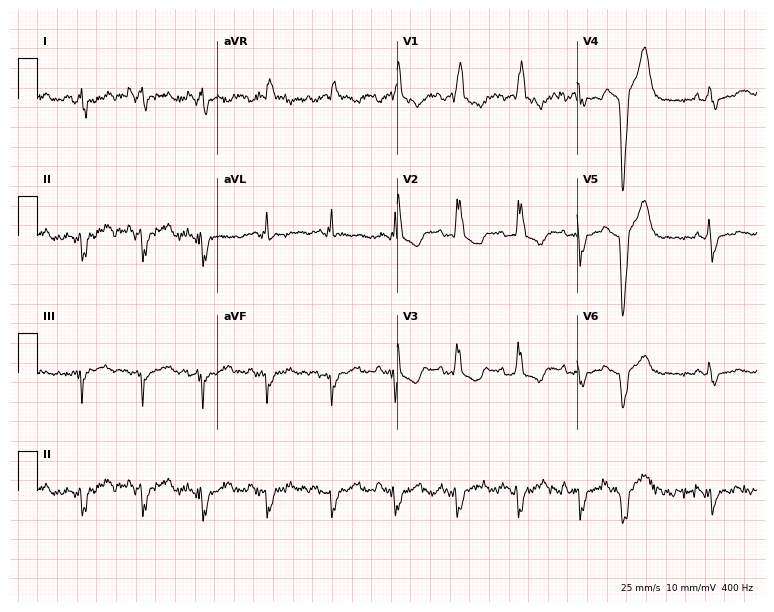
Standard 12-lead ECG recorded from a 40-year-old man (7.3-second recording at 400 Hz). The tracing shows right bundle branch block.